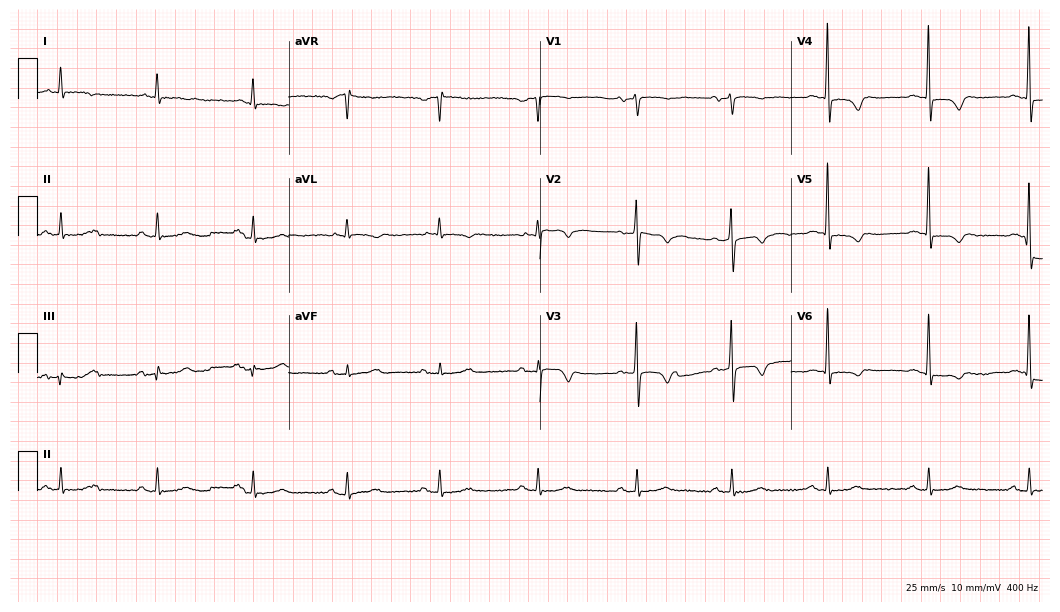
12-lead ECG from a male patient, 72 years old. No first-degree AV block, right bundle branch block, left bundle branch block, sinus bradycardia, atrial fibrillation or sinus tachycardia recorded for this tracing.